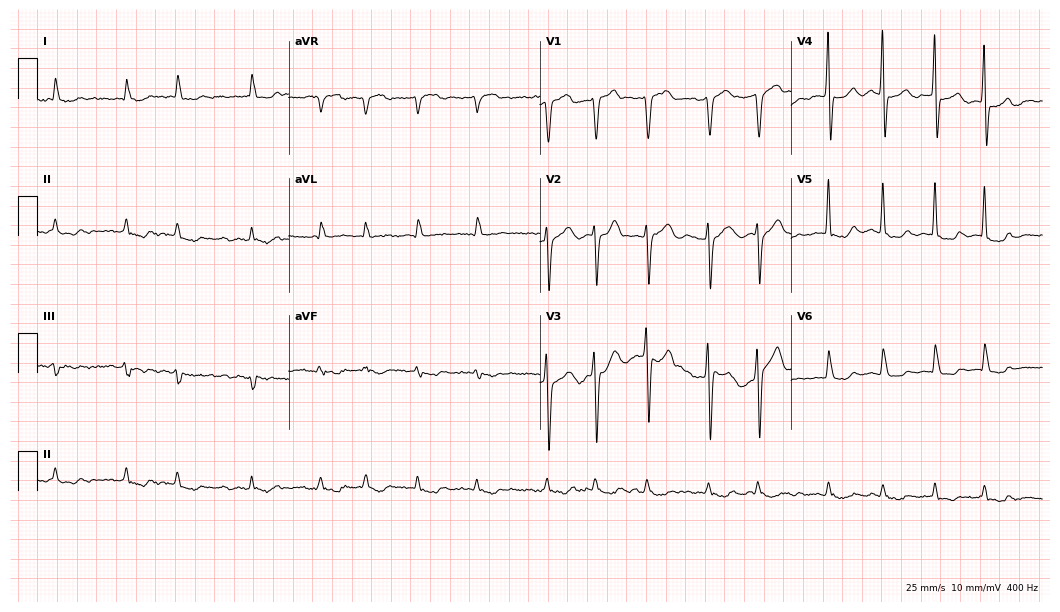
12-lead ECG (10.2-second recording at 400 Hz) from a 78-year-old male. Findings include atrial fibrillation (AF).